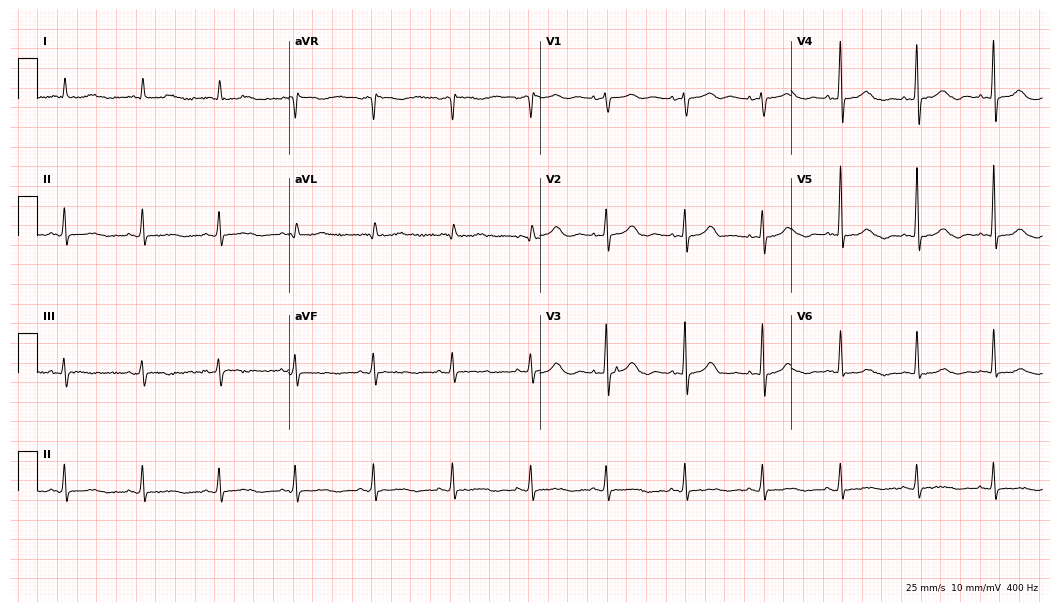
12-lead ECG from a 75-year-old woman. Recorded interpretation: within normal limits.